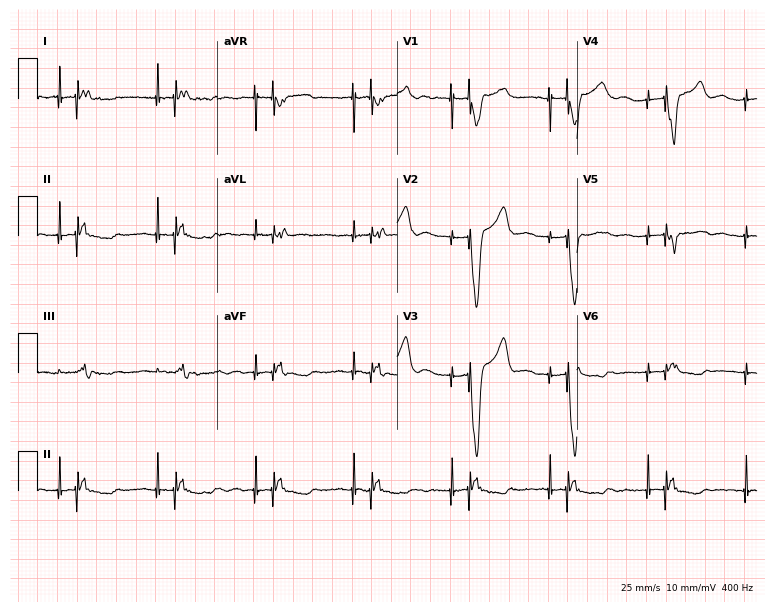
12-lead ECG (7.3-second recording at 400 Hz) from an 82-year-old female patient. Screened for six findings — first-degree AV block, right bundle branch block, left bundle branch block, sinus bradycardia, atrial fibrillation, sinus tachycardia — none is recorded.